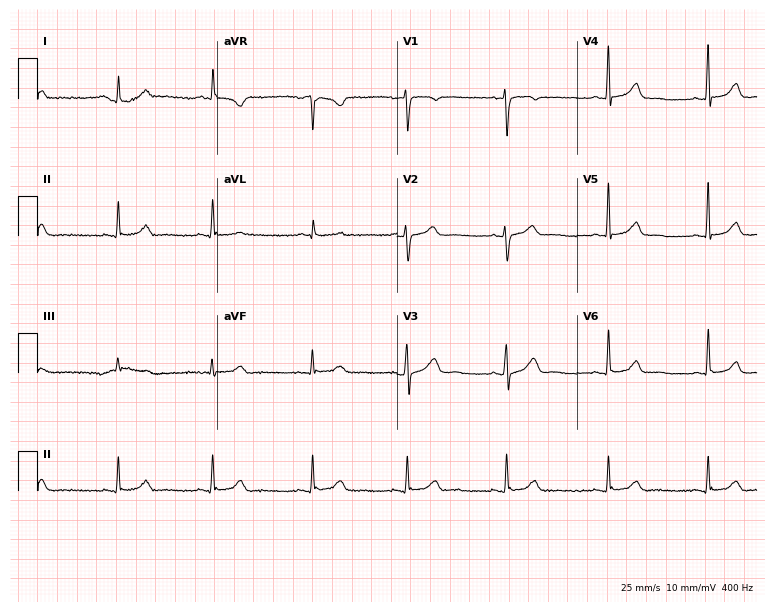
Standard 12-lead ECG recorded from a 53-year-old woman. Read as a normal ECG.